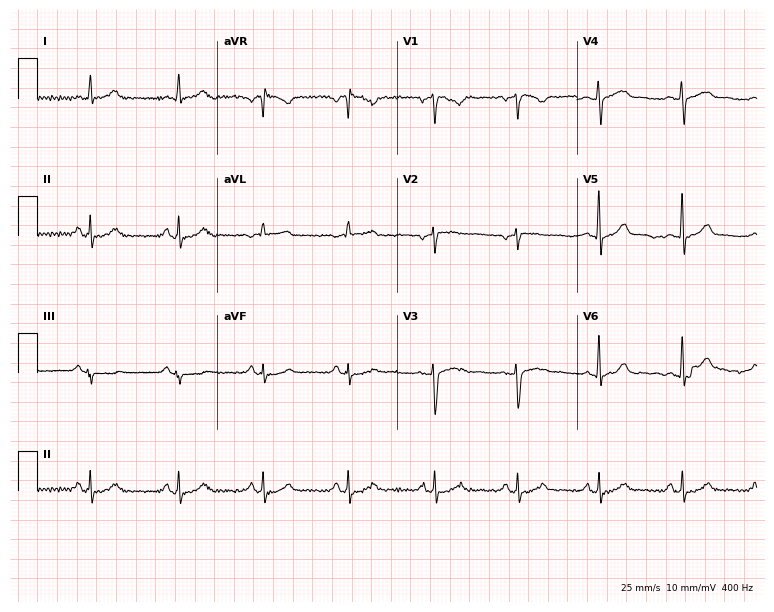
ECG (7.3-second recording at 400 Hz) — a 42-year-old woman. Labelled as a normal ECG.